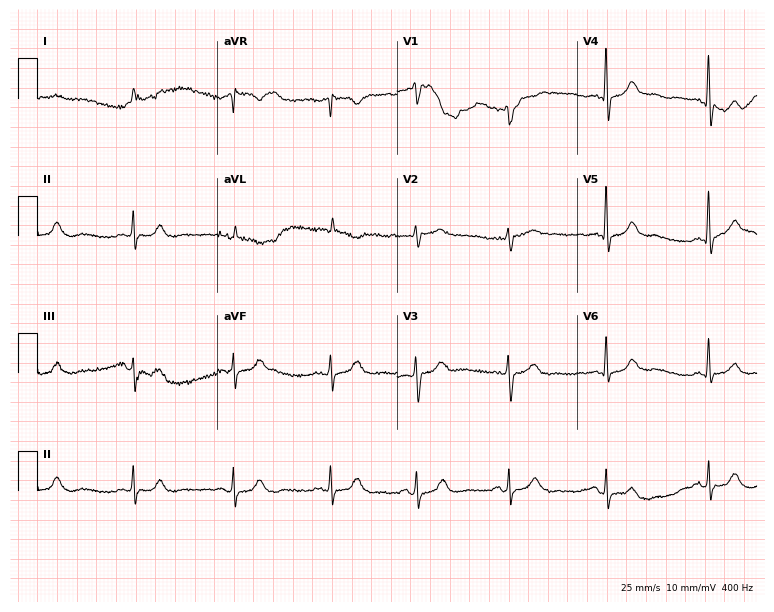
Standard 12-lead ECG recorded from a male, 78 years old (7.3-second recording at 400 Hz). None of these six findings is recorded: first-degree AV block, right bundle branch block, left bundle branch block, sinus bradycardia, atrial fibrillation, sinus tachycardia. Other findings, if any, are not listed.